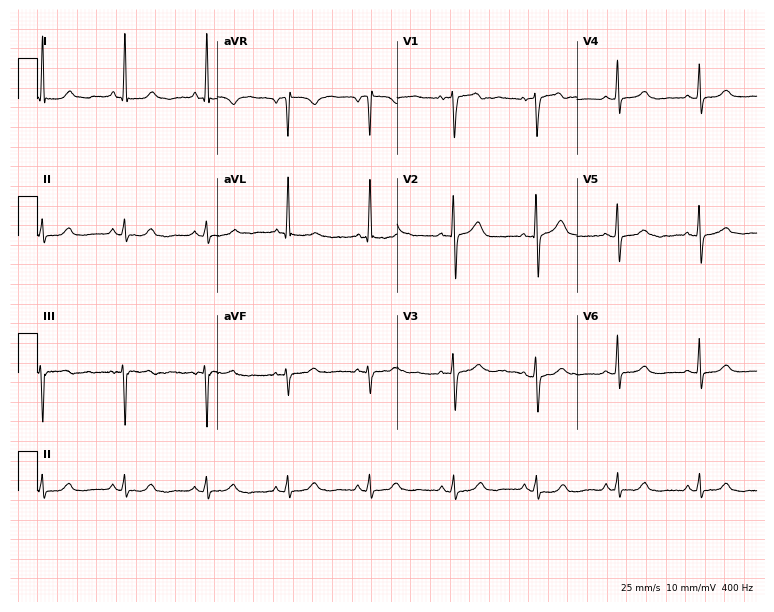
12-lead ECG from a female, 78 years old. Screened for six findings — first-degree AV block, right bundle branch block, left bundle branch block, sinus bradycardia, atrial fibrillation, sinus tachycardia — none is recorded.